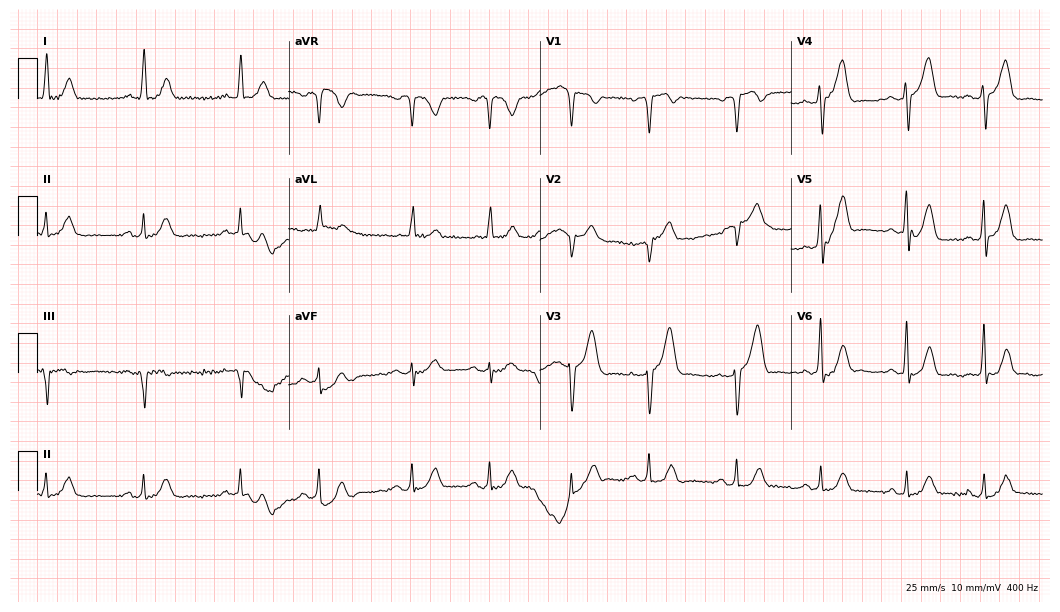
12-lead ECG from a man, 70 years old. Labelled as a normal ECG.